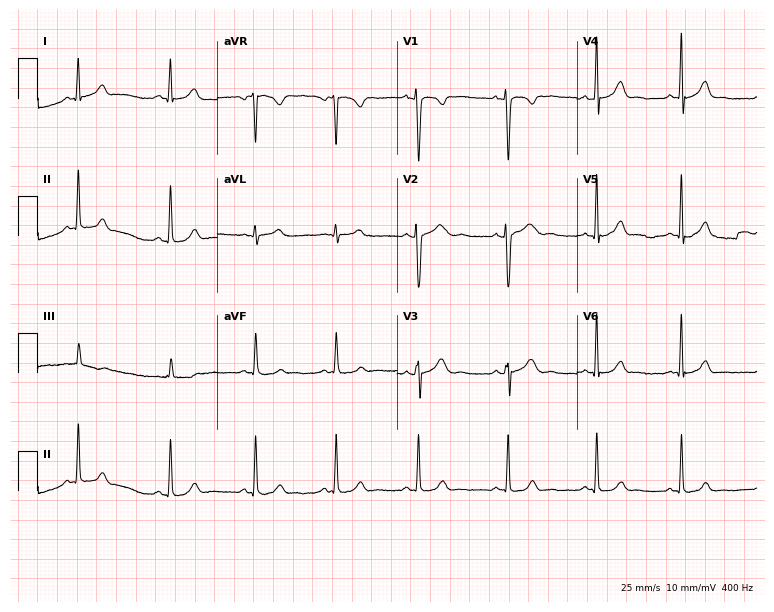
12-lead ECG from a woman, 19 years old. Labelled as a normal ECG.